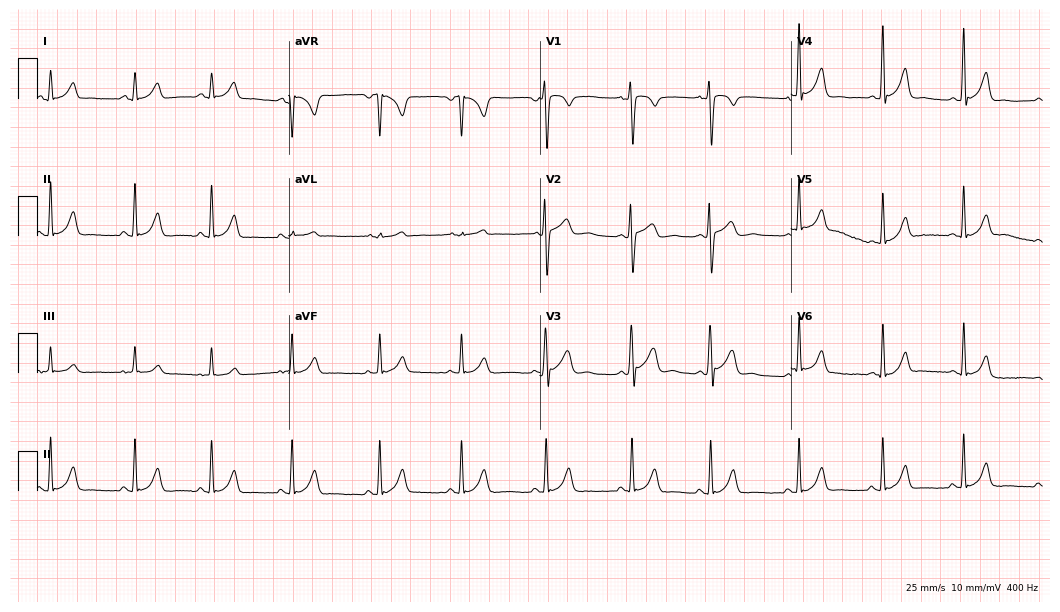
Standard 12-lead ECG recorded from a 17-year-old man (10.2-second recording at 400 Hz). Read as a normal ECG.